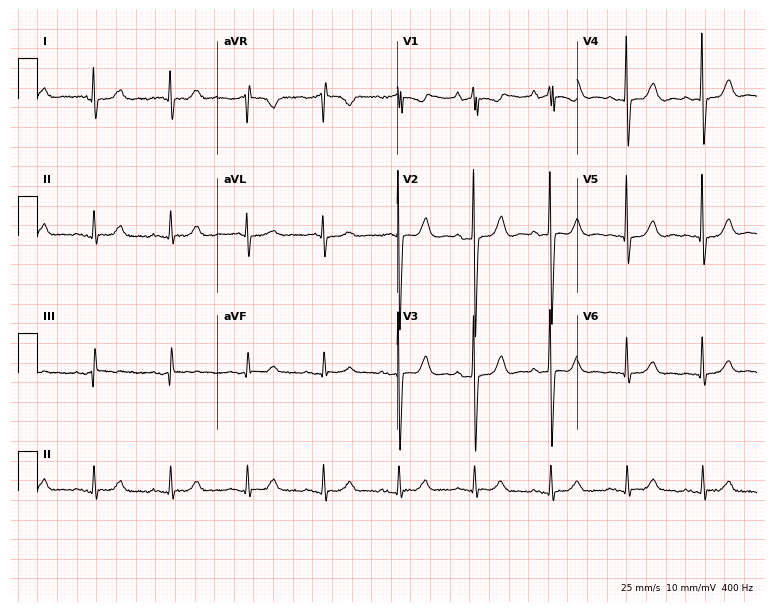
Standard 12-lead ECG recorded from a 77-year-old woman. Read as a normal ECG.